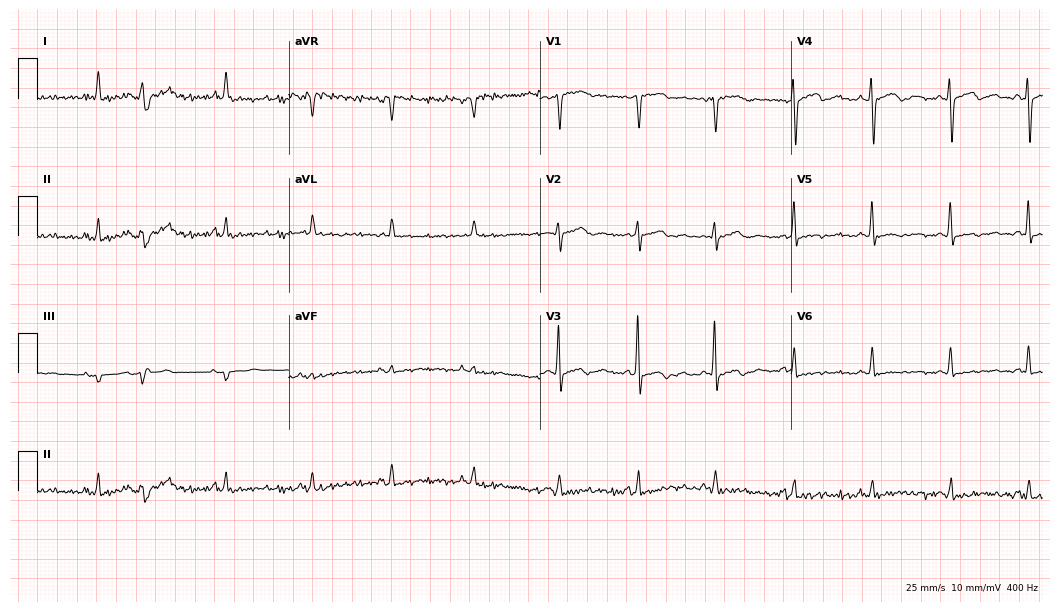
ECG (10.2-second recording at 400 Hz) — a woman, 74 years old. Screened for six findings — first-degree AV block, right bundle branch block, left bundle branch block, sinus bradycardia, atrial fibrillation, sinus tachycardia — none is recorded. Only these six findings were labelled.